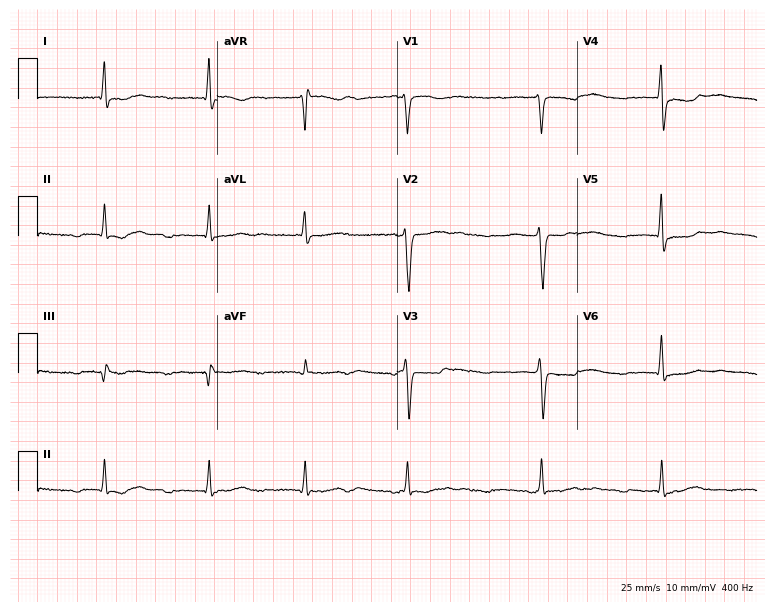
12-lead ECG from a 54-year-old woman. No first-degree AV block, right bundle branch block (RBBB), left bundle branch block (LBBB), sinus bradycardia, atrial fibrillation (AF) or sinus tachycardia recorded for this tracing. Other findings, if any, are not listed.